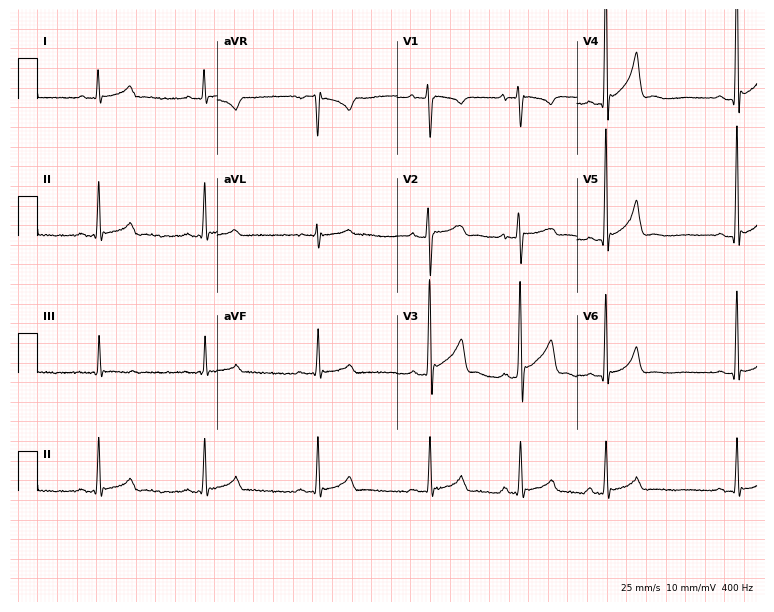
Resting 12-lead electrocardiogram (7.3-second recording at 400 Hz). Patient: a 17-year-old male. Read as a normal ECG.